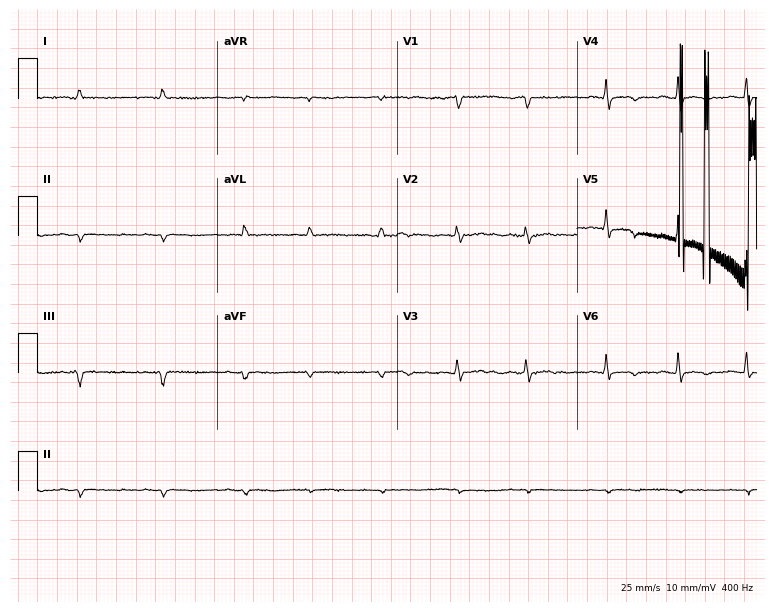
12-lead ECG from a 78-year-old female (7.3-second recording at 400 Hz). No first-degree AV block, right bundle branch block, left bundle branch block, sinus bradycardia, atrial fibrillation or sinus tachycardia recorded for this tracing. Findings outside these six are not listed.